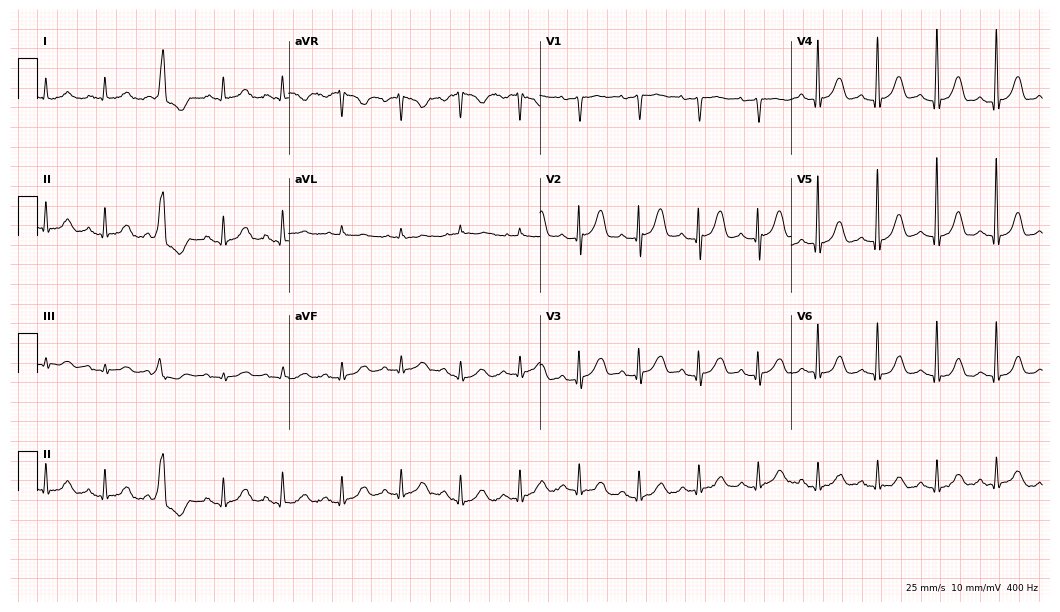
Electrocardiogram, an 81-year-old female patient. Of the six screened findings (first-degree AV block, right bundle branch block, left bundle branch block, sinus bradycardia, atrial fibrillation, sinus tachycardia), none is recorded.